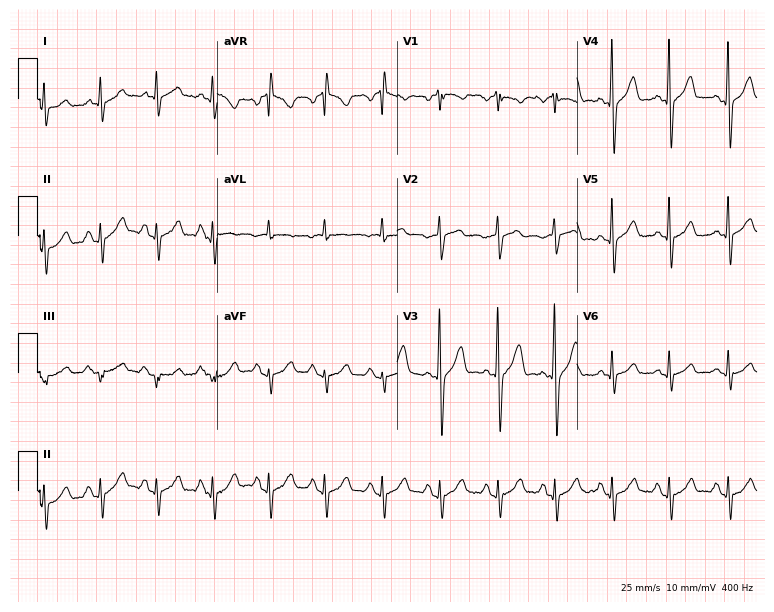
12-lead ECG from a 52-year-old male patient. Findings include sinus tachycardia (a sinus rate of 100 beats per minute or more).